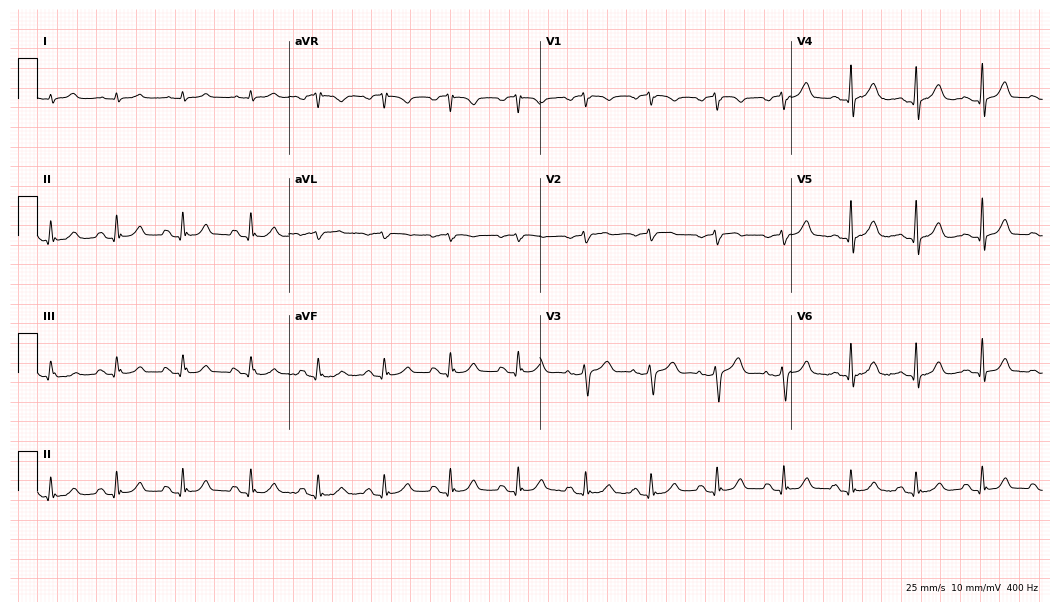
12-lead ECG from a 49-year-old male. Screened for six findings — first-degree AV block, right bundle branch block (RBBB), left bundle branch block (LBBB), sinus bradycardia, atrial fibrillation (AF), sinus tachycardia — none is recorded.